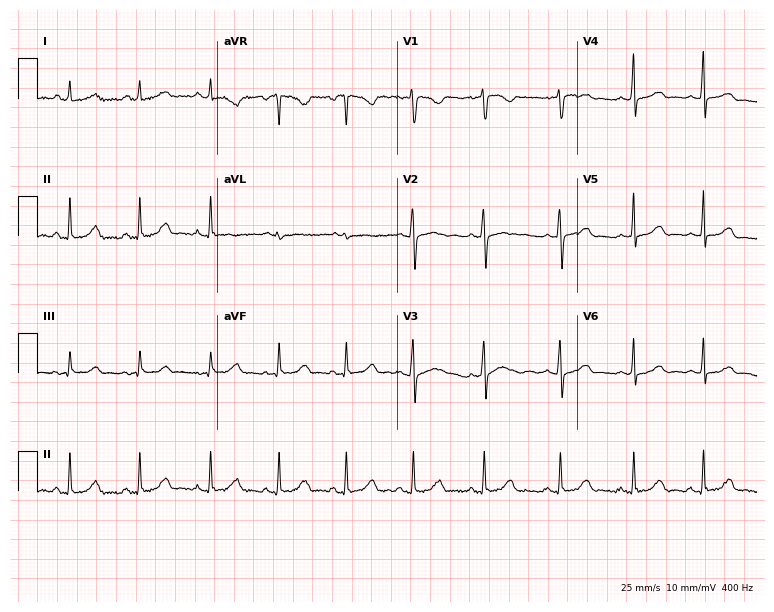
Resting 12-lead electrocardiogram. Patient: a female, 19 years old. Read as a normal ECG.